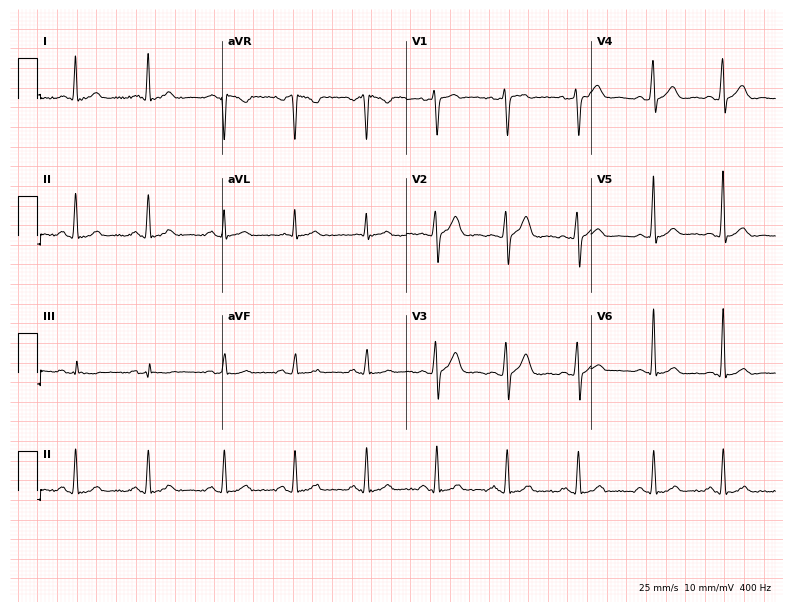
Standard 12-lead ECG recorded from a male, 32 years old (7.5-second recording at 400 Hz). Read as a normal ECG.